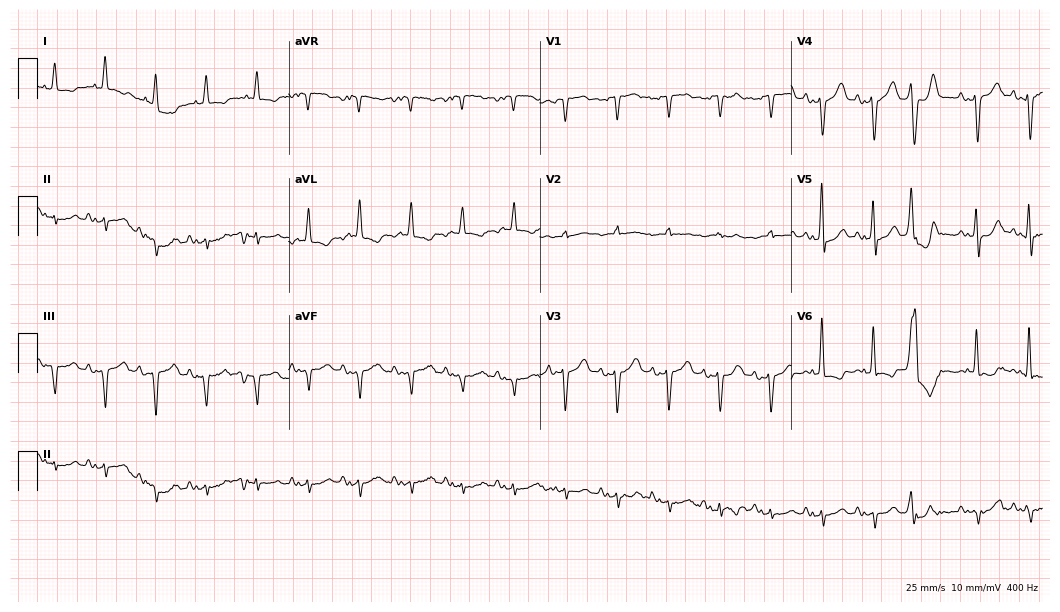
Standard 12-lead ECG recorded from a 78-year-old man. The tracing shows sinus tachycardia (a sinus rate of 100 beats per minute or more).